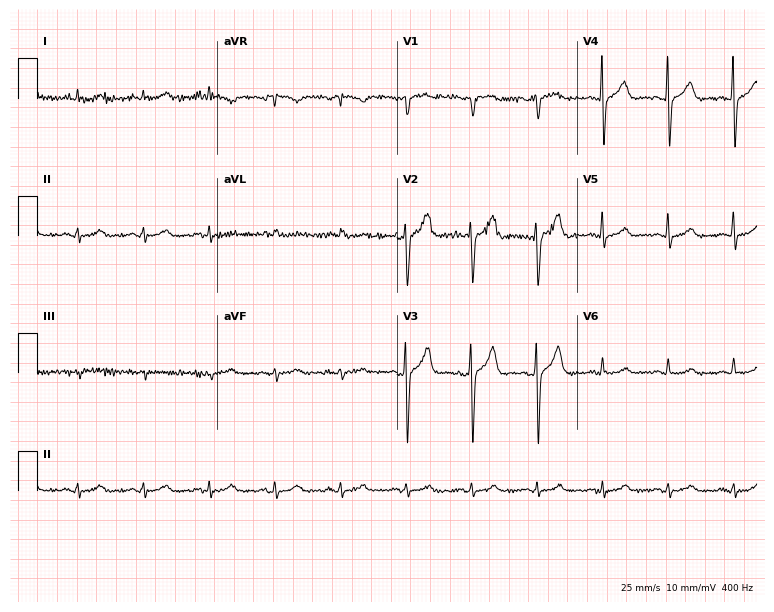
Standard 12-lead ECG recorded from a 68-year-old man (7.3-second recording at 400 Hz). Read as a normal ECG.